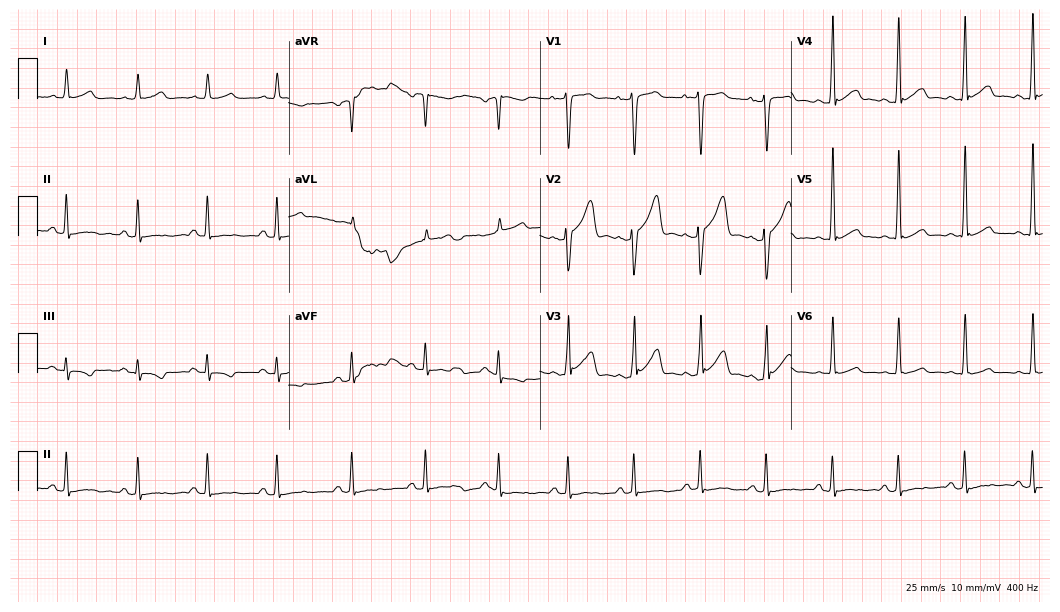
12-lead ECG from a male patient, 35 years old. Screened for six findings — first-degree AV block, right bundle branch block (RBBB), left bundle branch block (LBBB), sinus bradycardia, atrial fibrillation (AF), sinus tachycardia — none is recorded. Other findings, if any, are not listed.